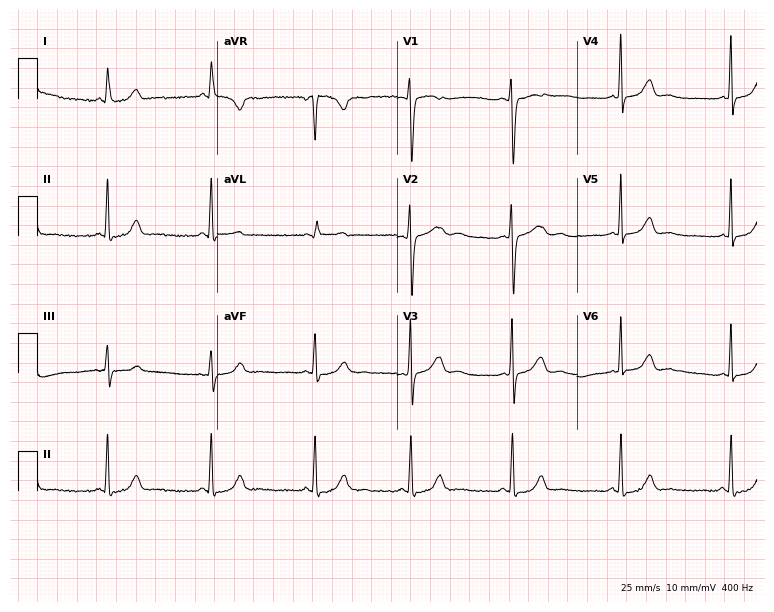
Electrocardiogram, a woman, 35 years old. Overall reading on record: normal ECG.